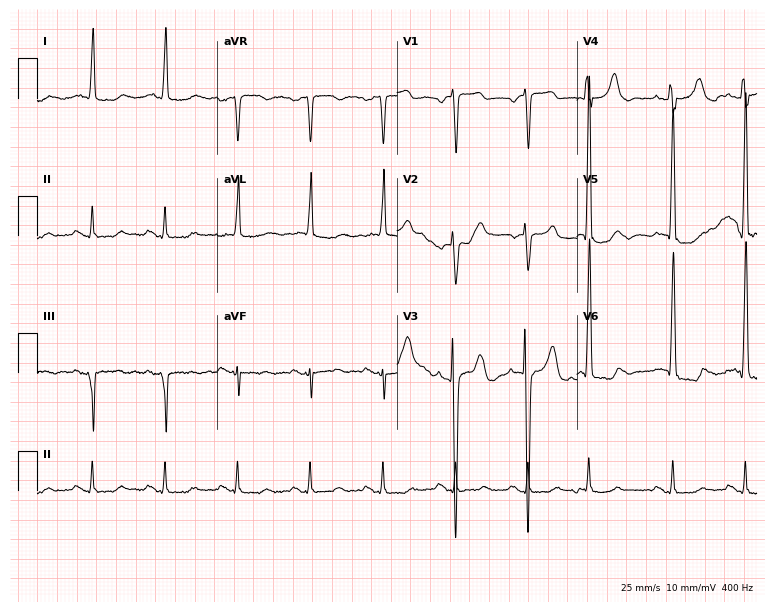
Resting 12-lead electrocardiogram. Patient: an 84-year-old male. None of these six findings is recorded: first-degree AV block, right bundle branch block, left bundle branch block, sinus bradycardia, atrial fibrillation, sinus tachycardia. Other findings, if any, are not listed.